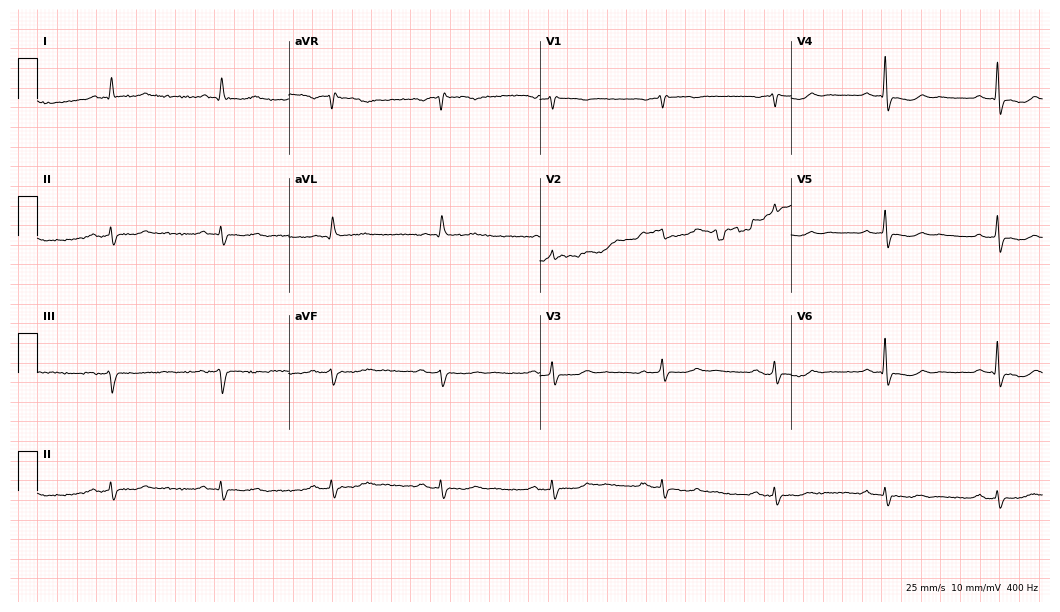
12-lead ECG from a man, 78 years old. No first-degree AV block, right bundle branch block, left bundle branch block, sinus bradycardia, atrial fibrillation or sinus tachycardia recorded for this tracing.